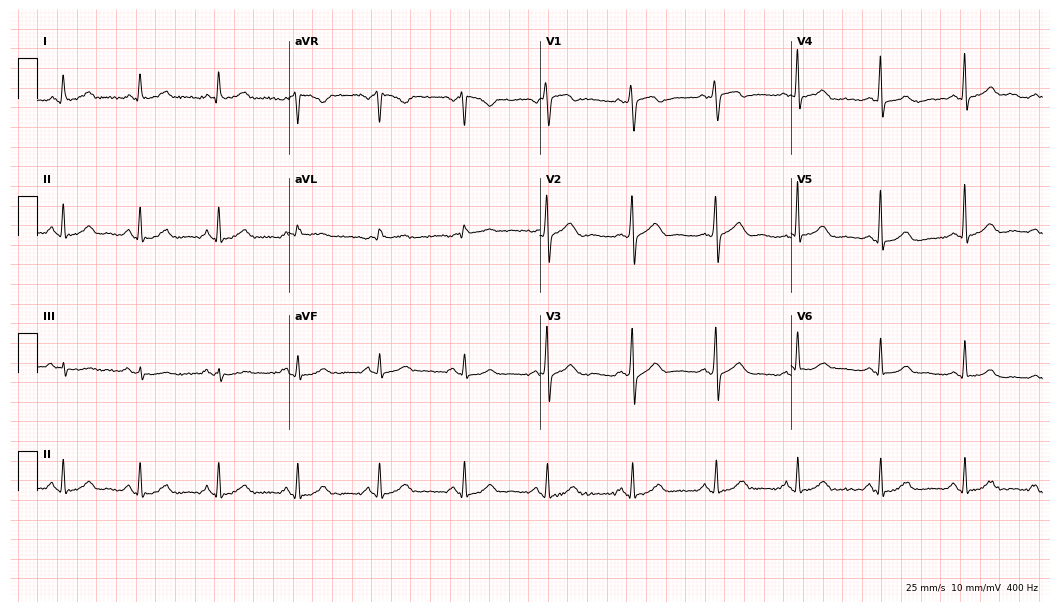
Electrocardiogram (10.2-second recording at 400 Hz), a female, 63 years old. Of the six screened findings (first-degree AV block, right bundle branch block, left bundle branch block, sinus bradycardia, atrial fibrillation, sinus tachycardia), none is recorded. Only these six findings were labelled.